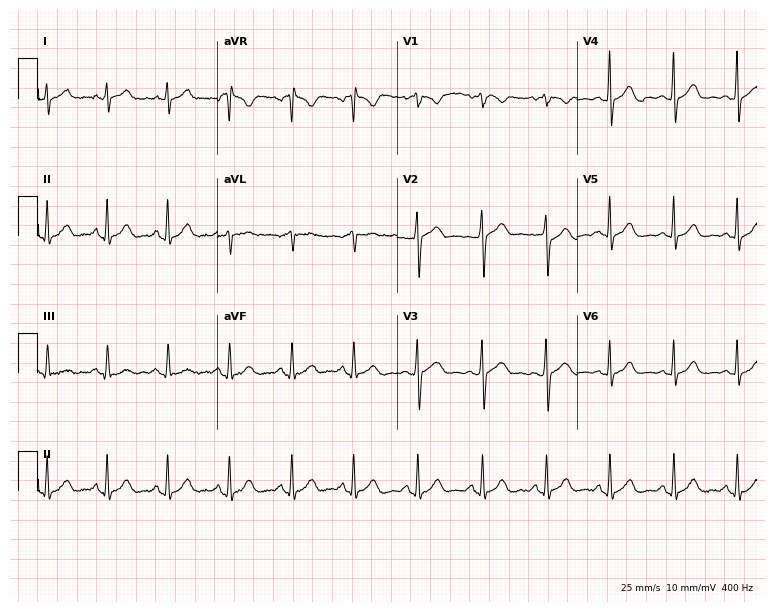
Resting 12-lead electrocardiogram (7.3-second recording at 400 Hz). Patient: a woman, 30 years old. Read as a normal ECG.